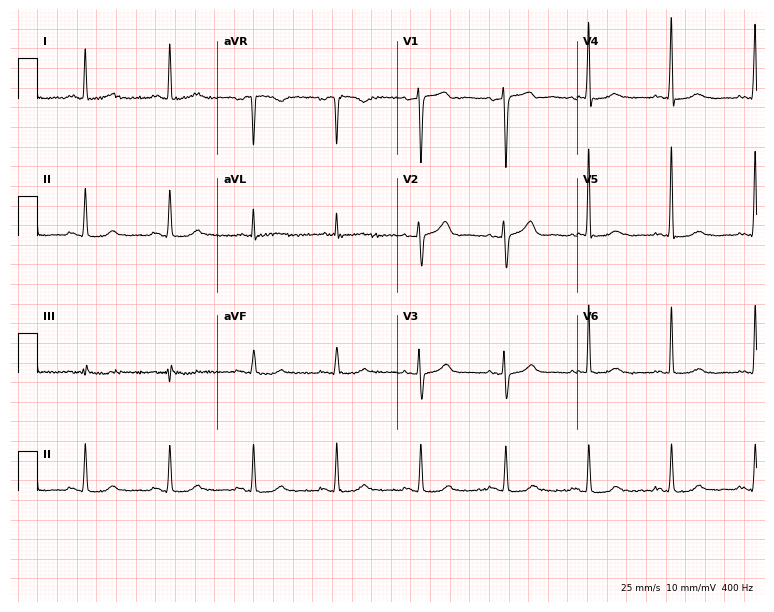
Resting 12-lead electrocardiogram (7.3-second recording at 400 Hz). Patient: a 63-year-old female. None of these six findings is recorded: first-degree AV block, right bundle branch block, left bundle branch block, sinus bradycardia, atrial fibrillation, sinus tachycardia.